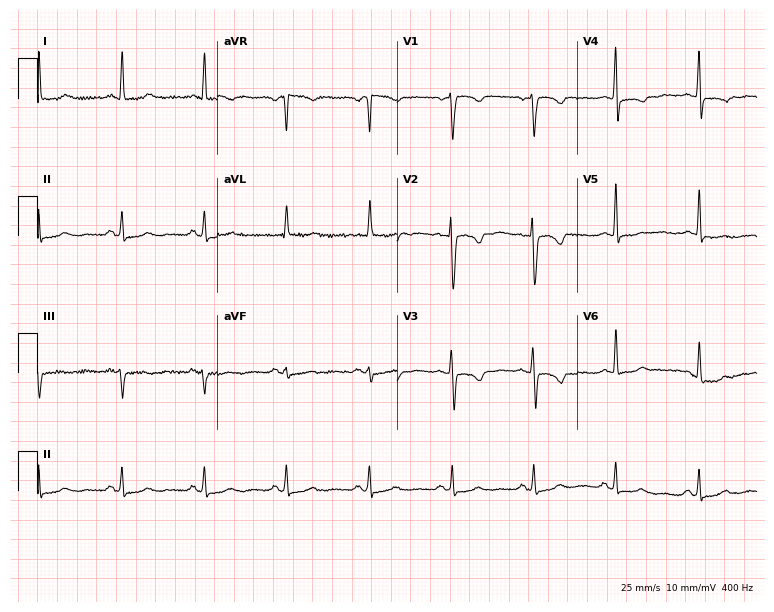
Electrocardiogram (7.3-second recording at 400 Hz), a female patient, 49 years old. Of the six screened findings (first-degree AV block, right bundle branch block (RBBB), left bundle branch block (LBBB), sinus bradycardia, atrial fibrillation (AF), sinus tachycardia), none is recorded.